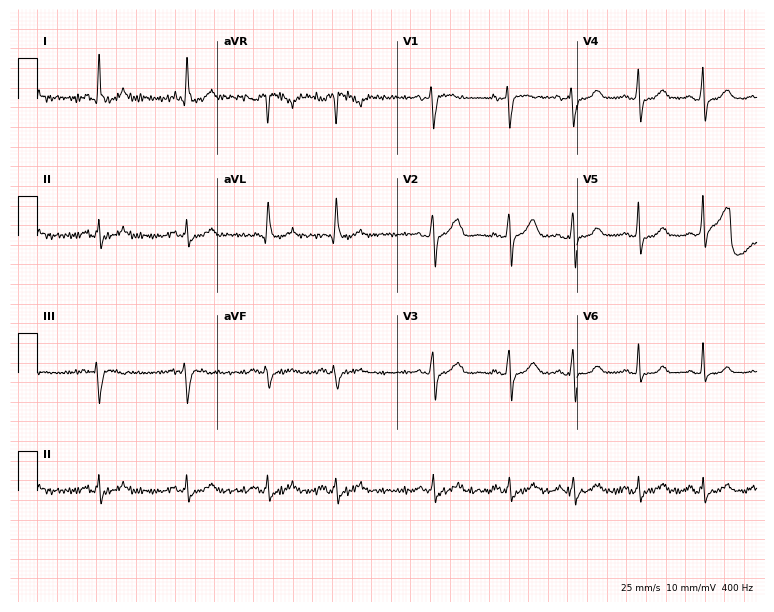
Electrocardiogram, a woman, 61 years old. Overall reading on record: normal ECG.